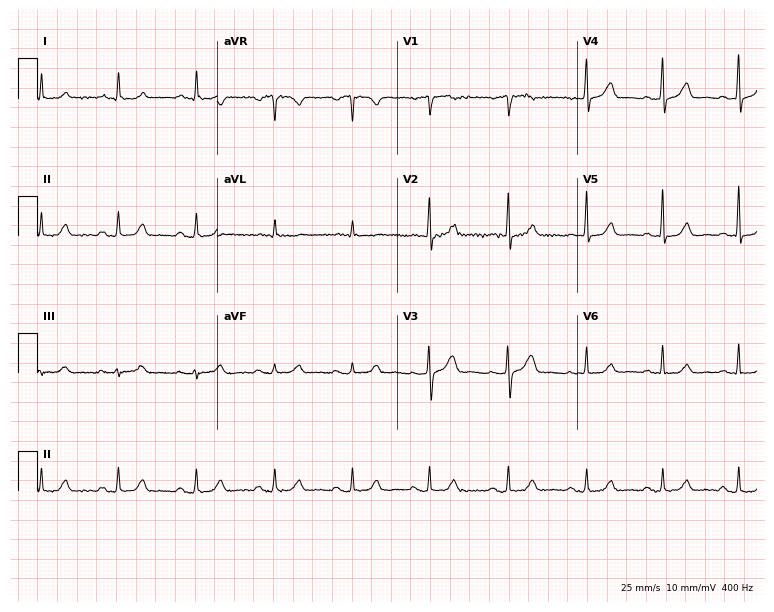
12-lead ECG from a 64-year-old woman. Labelled as a normal ECG.